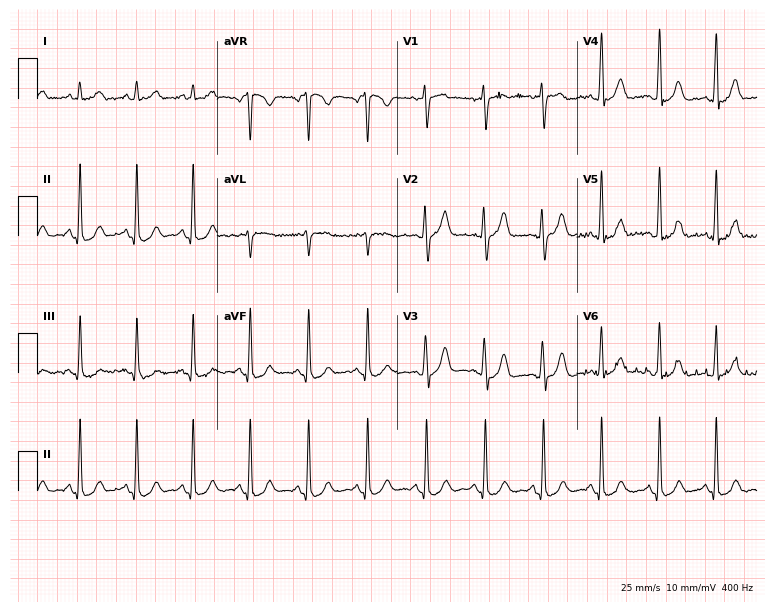
Resting 12-lead electrocardiogram (7.3-second recording at 400 Hz). Patient: a female, 23 years old. The tracing shows sinus tachycardia (a sinus rate of 100 beats per minute or more).